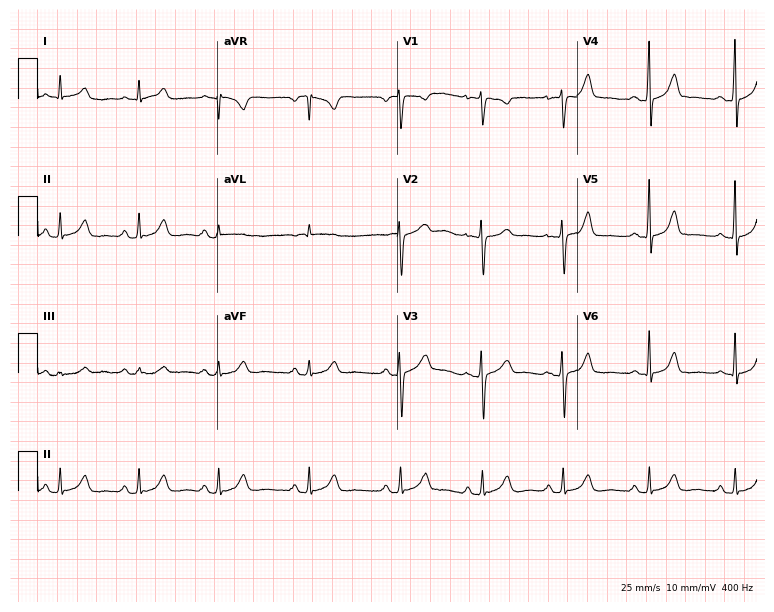
ECG — a female, 31 years old. Labelled as a normal ECG.